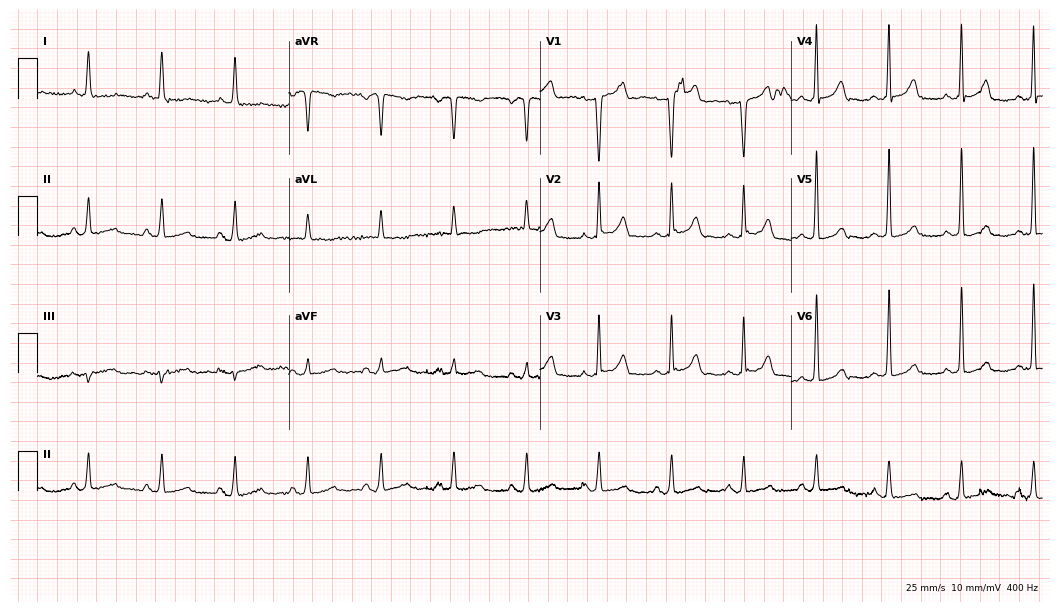
ECG (10.2-second recording at 400 Hz) — a female, 71 years old. Screened for six findings — first-degree AV block, right bundle branch block, left bundle branch block, sinus bradycardia, atrial fibrillation, sinus tachycardia — none is recorded.